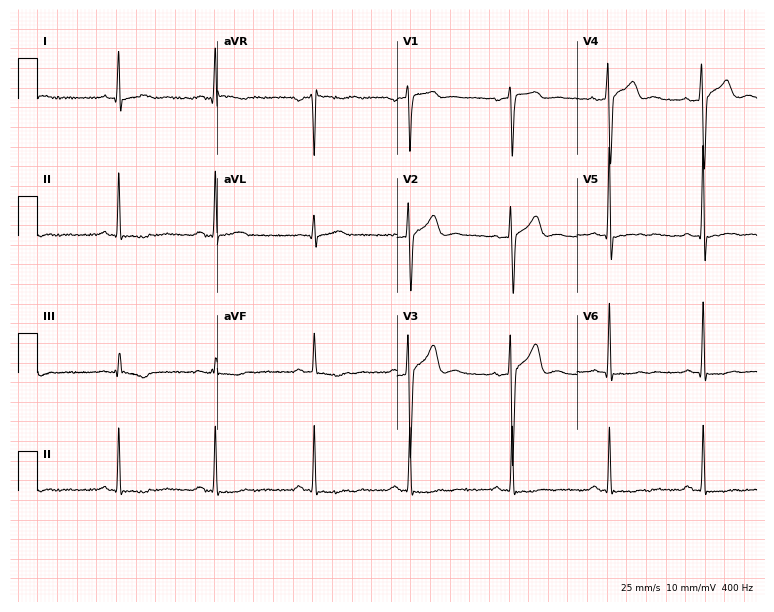
12-lead ECG from a male, 45 years old. Labelled as a normal ECG.